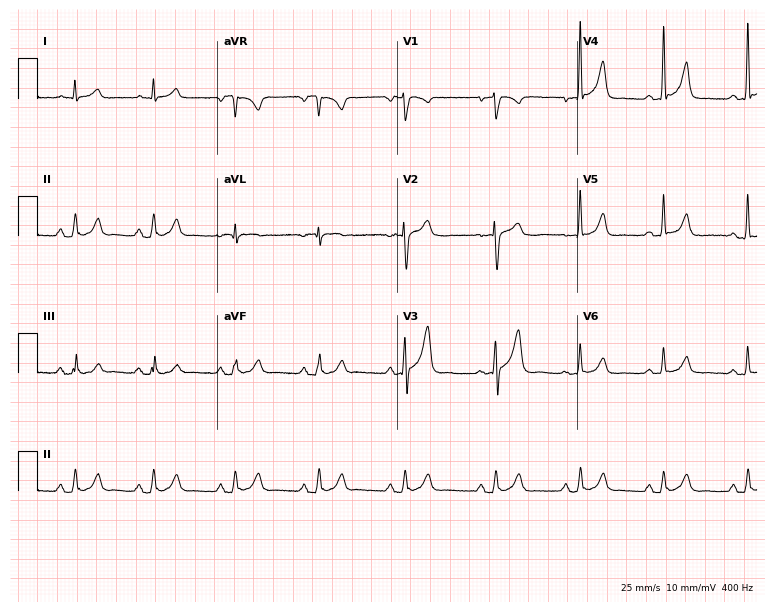
Standard 12-lead ECG recorded from a 31-year-old man. Read as a normal ECG.